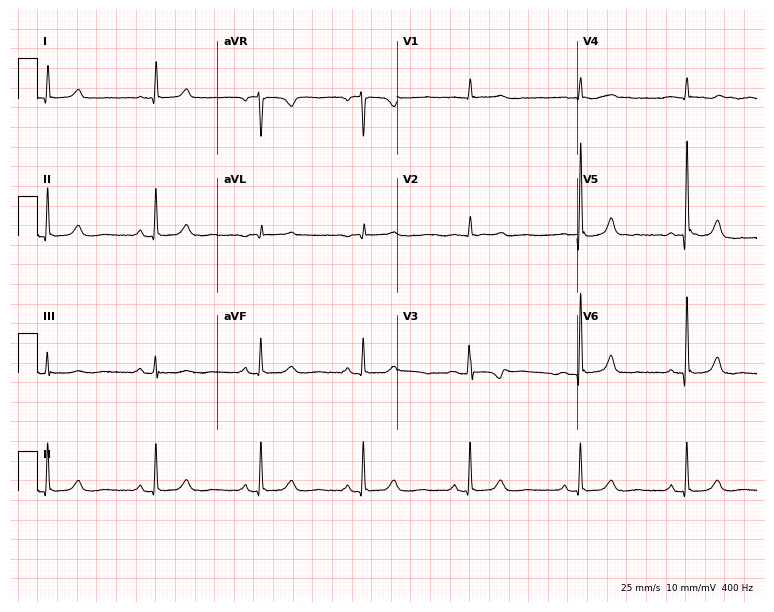
Electrocardiogram (7.3-second recording at 400 Hz), a 44-year-old female patient. Overall reading on record: normal ECG.